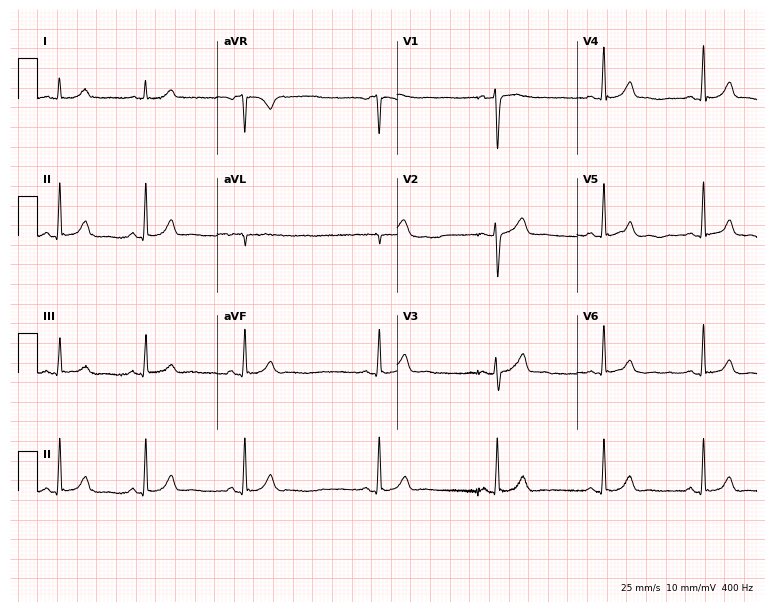
ECG (7.3-second recording at 400 Hz) — a 36-year-old female. Labelled as a normal ECG.